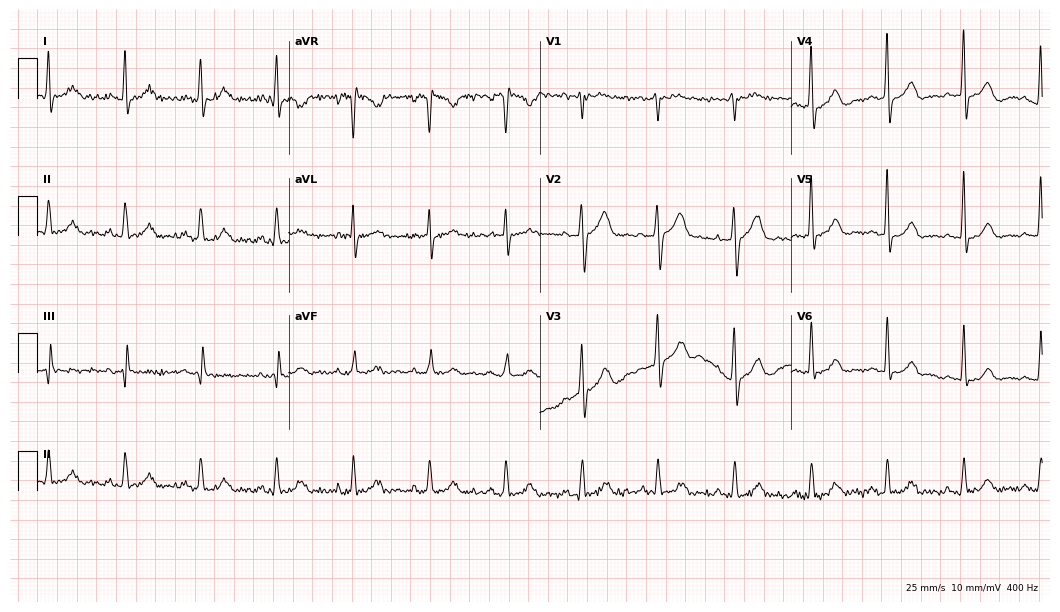
Standard 12-lead ECG recorded from a man, 47 years old. Read as a normal ECG.